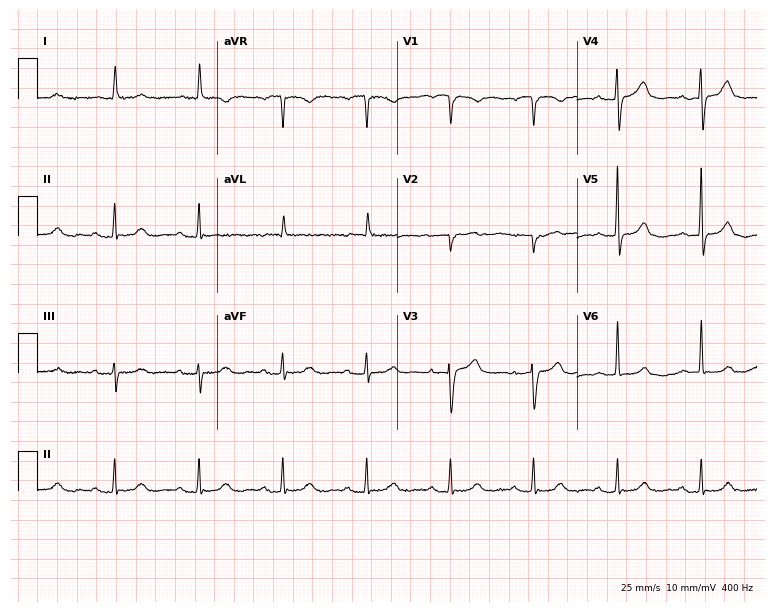
Resting 12-lead electrocardiogram (7.3-second recording at 400 Hz). Patient: a woman, 77 years old. Read as a normal ECG.